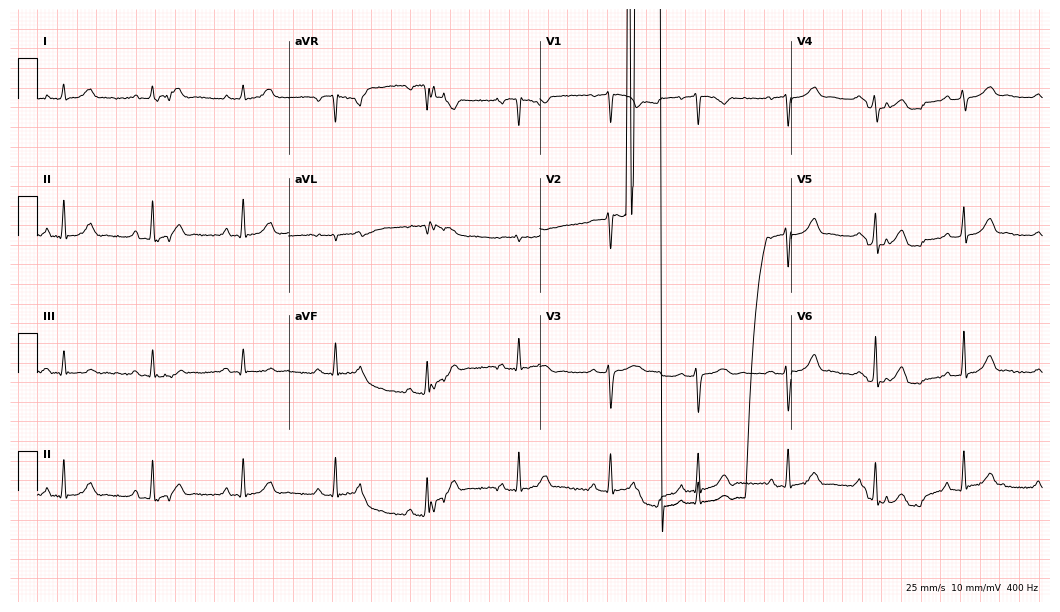
12-lead ECG from a 26-year-old female (10.2-second recording at 400 Hz). No first-degree AV block, right bundle branch block, left bundle branch block, sinus bradycardia, atrial fibrillation or sinus tachycardia recorded for this tracing.